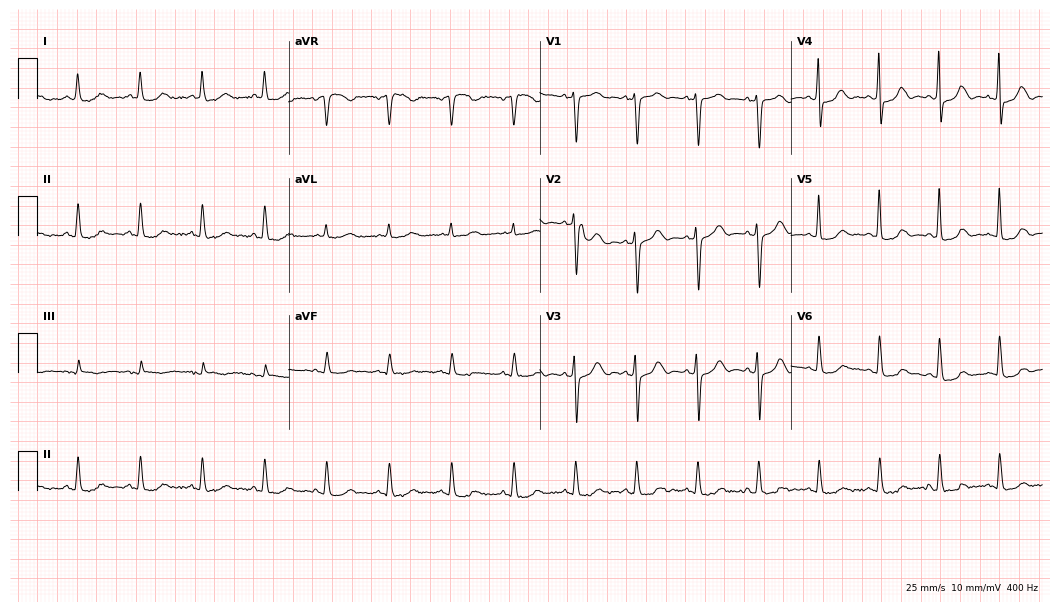
Electrocardiogram (10.2-second recording at 400 Hz), a 75-year-old woman. Overall reading on record: normal ECG.